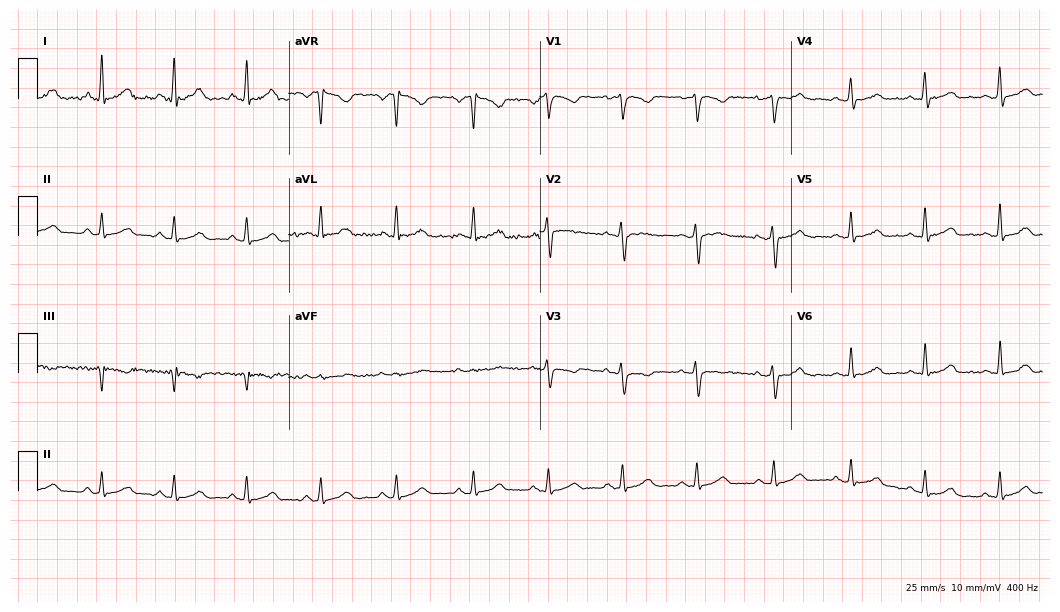
Resting 12-lead electrocardiogram. Patient: a woman, 36 years old. Read as a normal ECG.